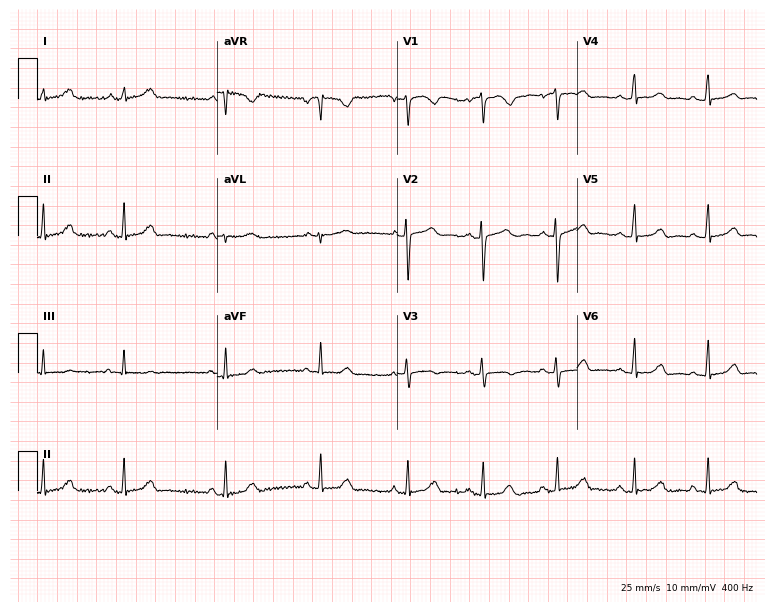
Resting 12-lead electrocardiogram. Patient: a 19-year-old female. Read as a normal ECG.